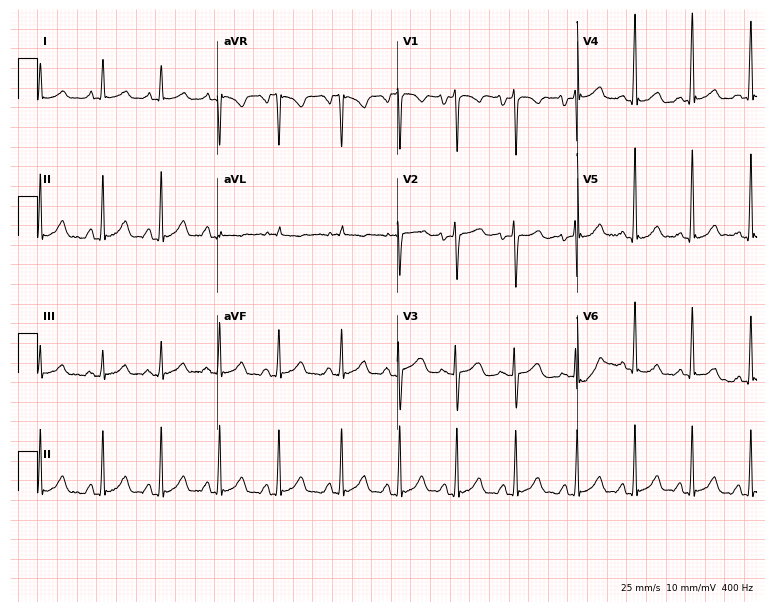
Electrocardiogram, a female patient, 22 years old. Overall reading on record: normal ECG.